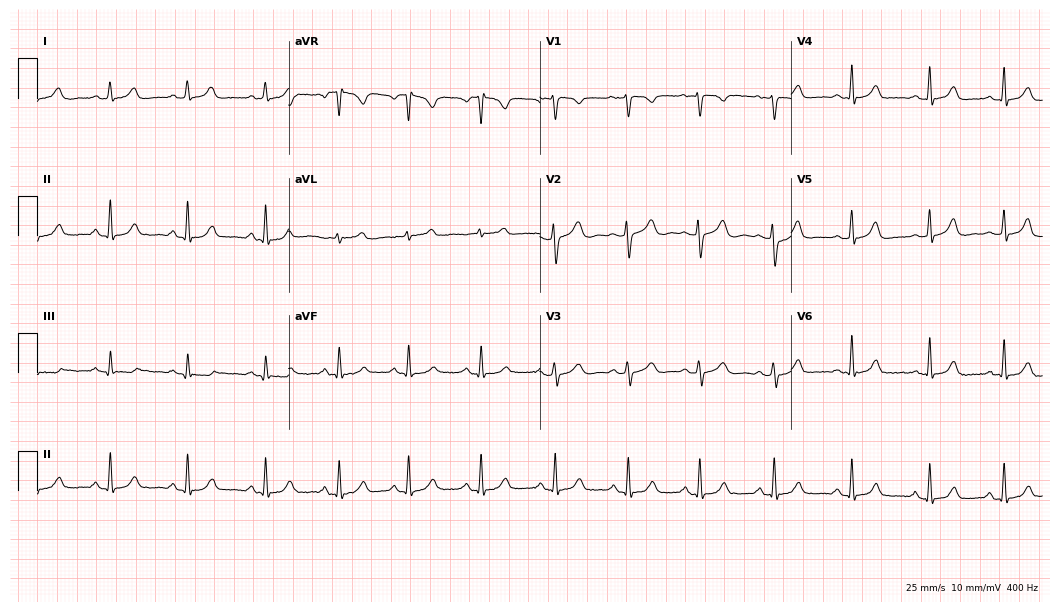
Electrocardiogram, a female patient, 26 years old. Overall reading on record: normal ECG.